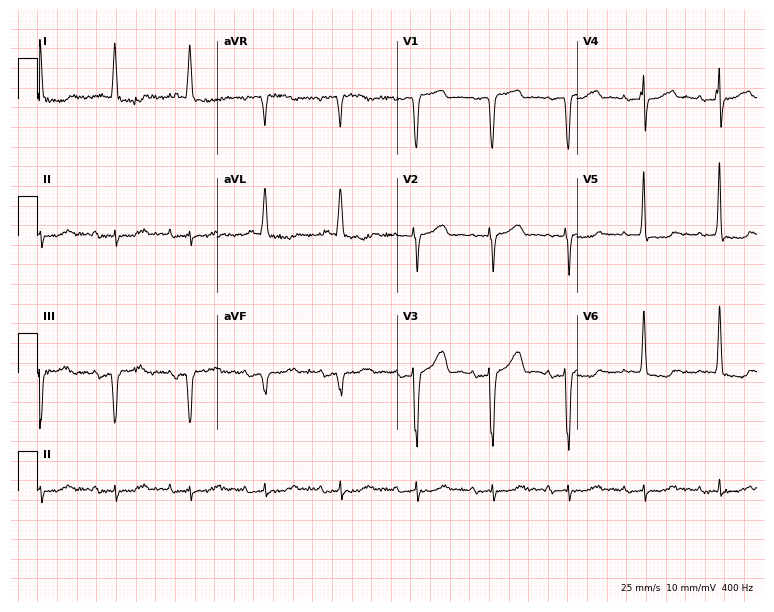
Resting 12-lead electrocardiogram (7.3-second recording at 400 Hz). Patient: a female, 74 years old. None of these six findings is recorded: first-degree AV block, right bundle branch block, left bundle branch block, sinus bradycardia, atrial fibrillation, sinus tachycardia.